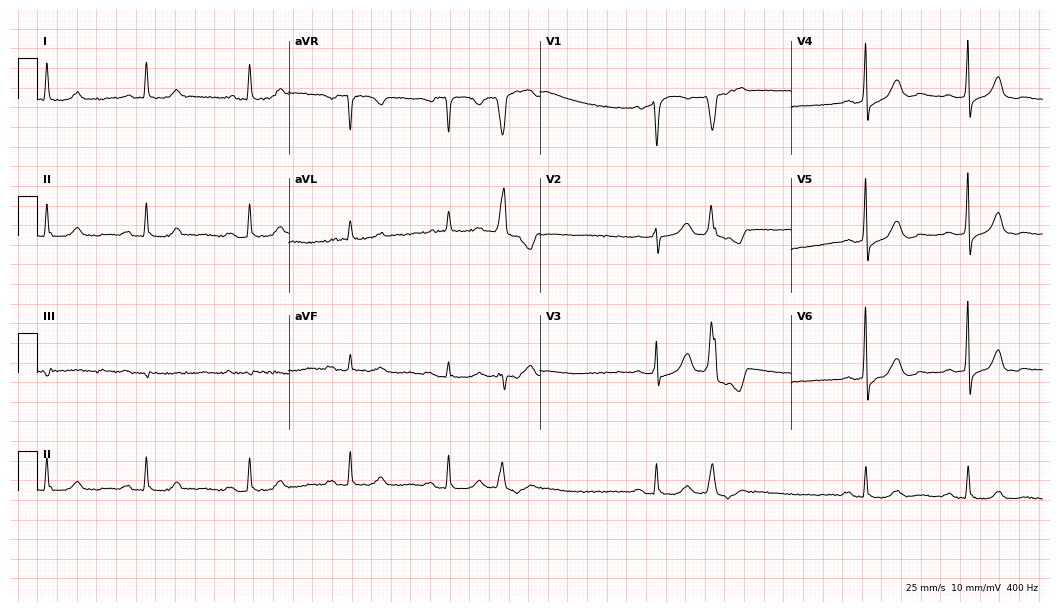
12-lead ECG from an 81-year-old female patient (10.2-second recording at 400 Hz). No first-degree AV block, right bundle branch block, left bundle branch block, sinus bradycardia, atrial fibrillation or sinus tachycardia recorded for this tracing.